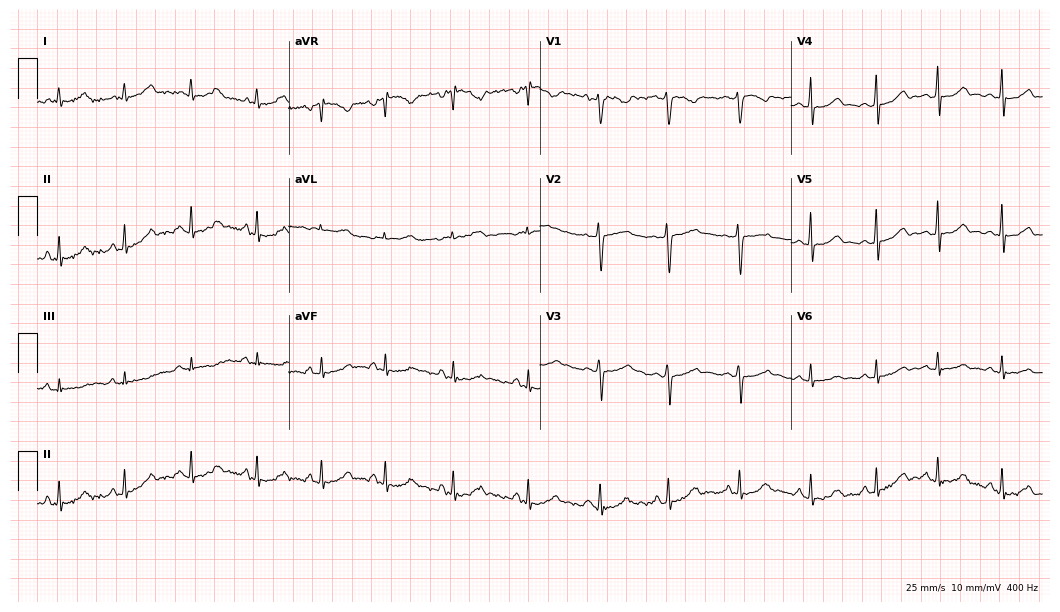
ECG — a woman, 32 years old. Labelled as a normal ECG.